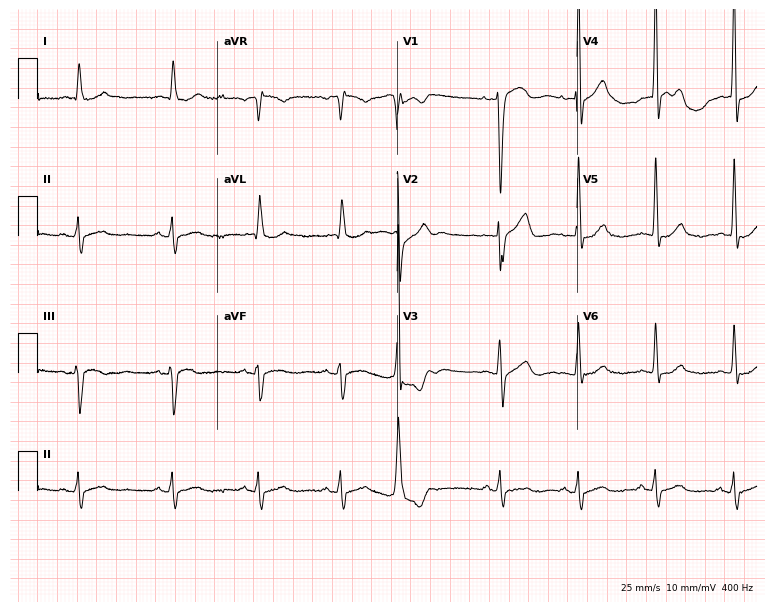
Standard 12-lead ECG recorded from a female, 84 years old. None of these six findings is recorded: first-degree AV block, right bundle branch block (RBBB), left bundle branch block (LBBB), sinus bradycardia, atrial fibrillation (AF), sinus tachycardia.